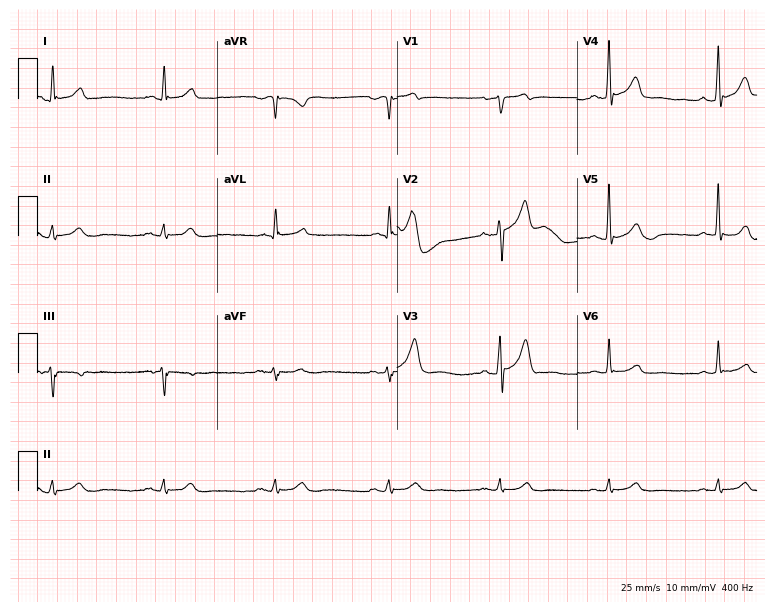
ECG (7.3-second recording at 400 Hz) — a 61-year-old man. Labelled as a normal ECG.